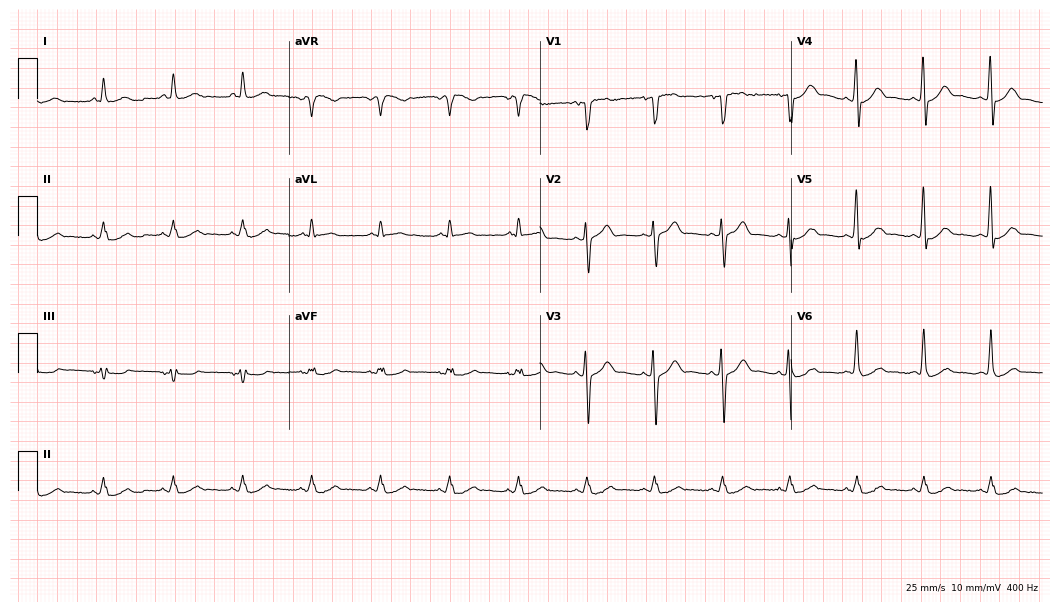
Resting 12-lead electrocardiogram (10.2-second recording at 400 Hz). Patient: a male, 56 years old. Read as a normal ECG.